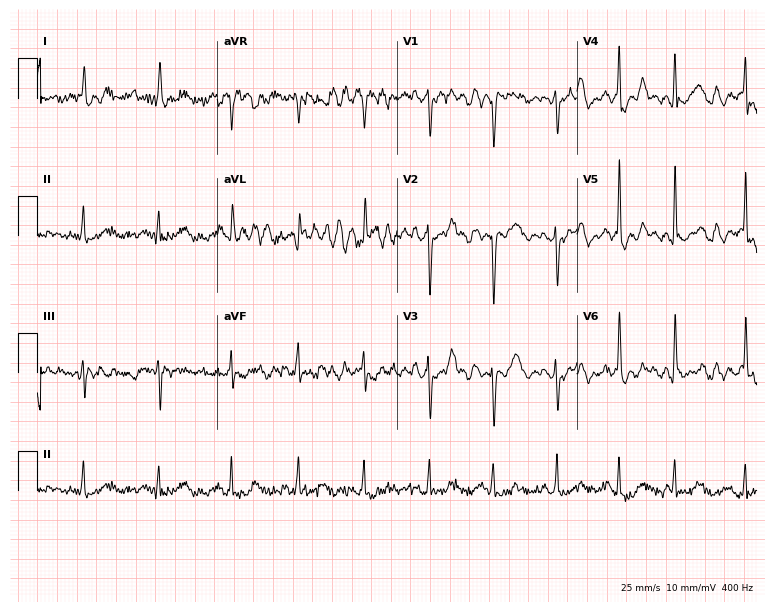
12-lead ECG from a female patient, 79 years old. No first-degree AV block, right bundle branch block, left bundle branch block, sinus bradycardia, atrial fibrillation or sinus tachycardia recorded for this tracing.